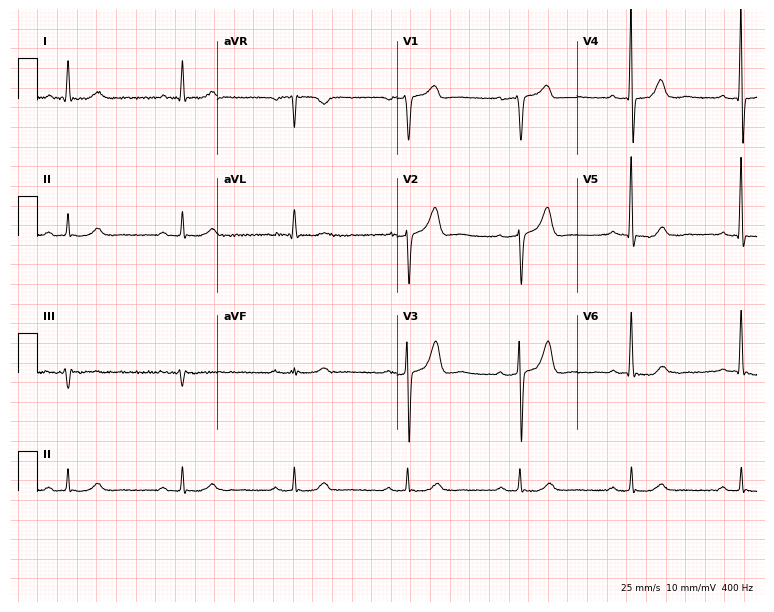
Electrocardiogram, a male patient, 71 years old. Interpretation includes first-degree AV block.